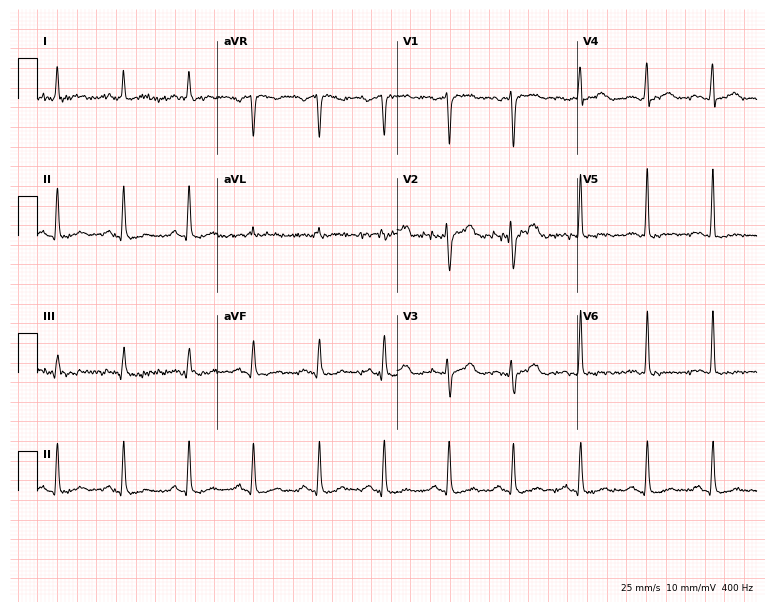
Resting 12-lead electrocardiogram. Patient: a woman, 48 years old. Read as a normal ECG.